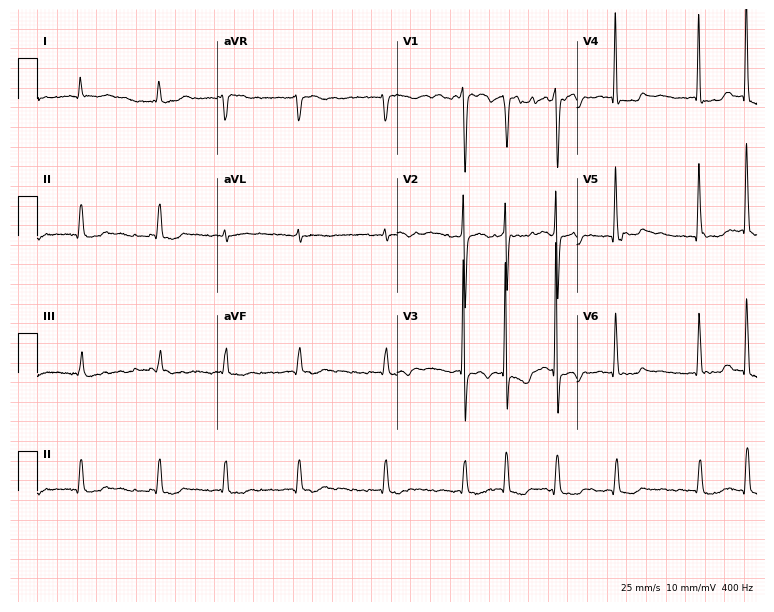
Resting 12-lead electrocardiogram (7.3-second recording at 400 Hz). Patient: an 83-year-old female. The tracing shows atrial fibrillation (AF).